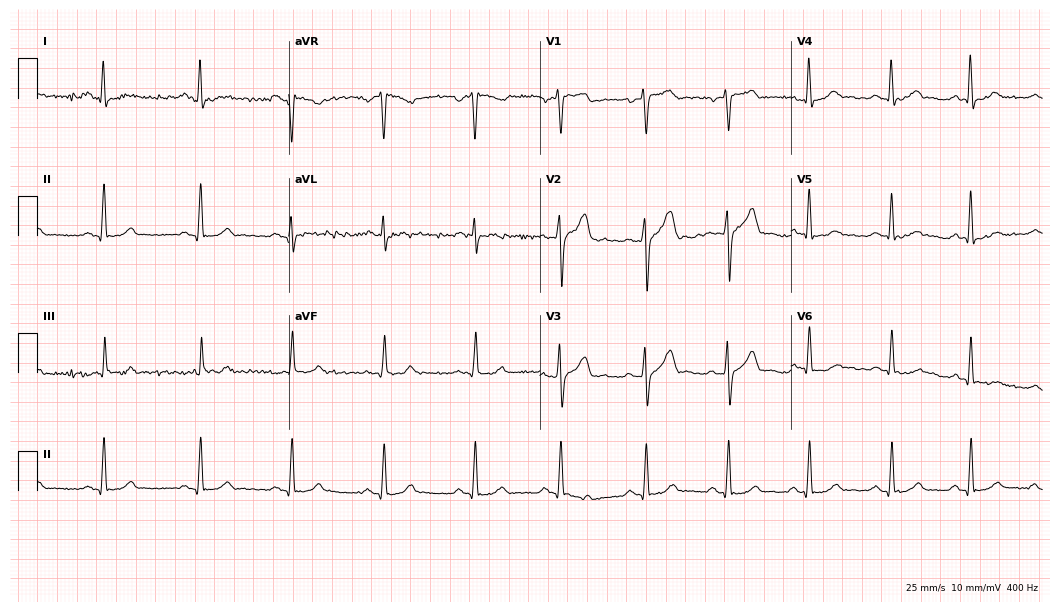
ECG — a 42-year-old male. Labelled as a normal ECG.